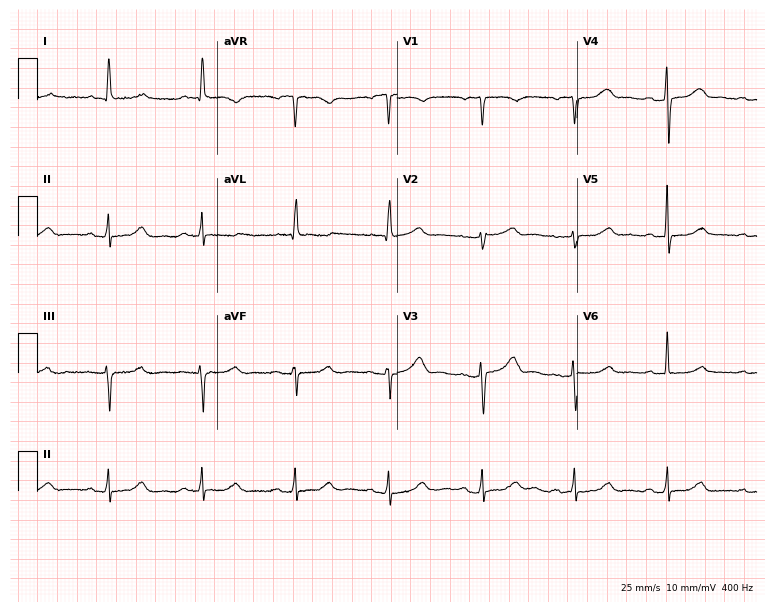
12-lead ECG from a 71-year-old female patient (7.3-second recording at 400 Hz). No first-degree AV block, right bundle branch block (RBBB), left bundle branch block (LBBB), sinus bradycardia, atrial fibrillation (AF) or sinus tachycardia recorded for this tracing. Only these six findings were labelled.